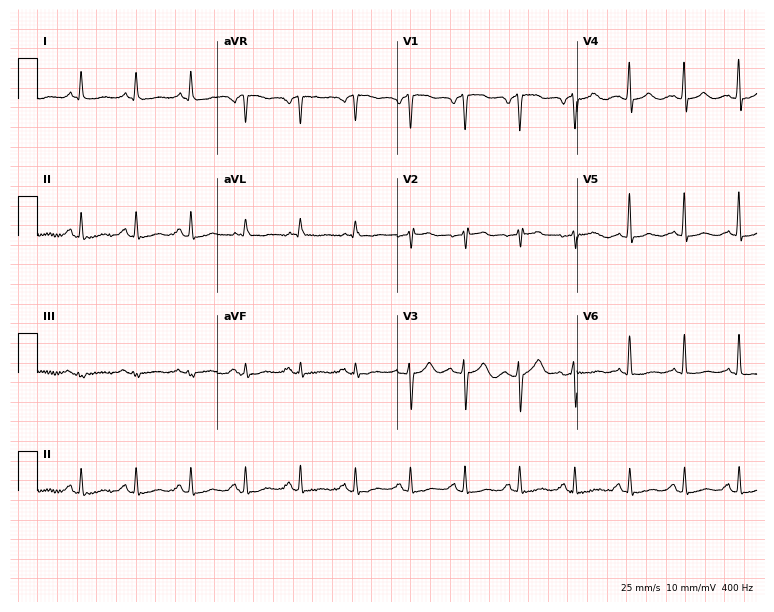
Electrocardiogram, a man, 80 years old. Of the six screened findings (first-degree AV block, right bundle branch block, left bundle branch block, sinus bradycardia, atrial fibrillation, sinus tachycardia), none is recorded.